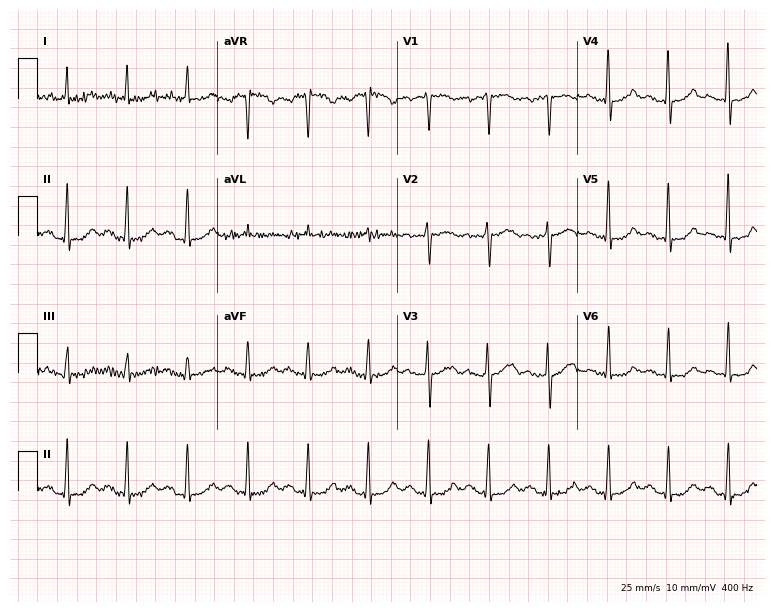
ECG (7.3-second recording at 400 Hz) — a 61-year-old female. Screened for six findings — first-degree AV block, right bundle branch block (RBBB), left bundle branch block (LBBB), sinus bradycardia, atrial fibrillation (AF), sinus tachycardia — none is recorded.